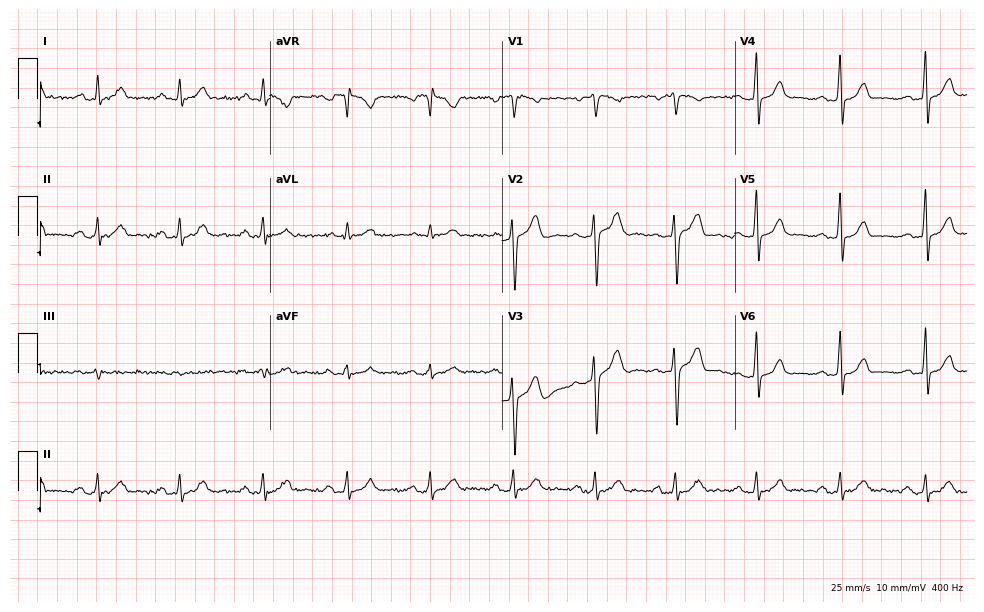
Electrocardiogram (9.5-second recording at 400 Hz), a 30-year-old man. Overall reading on record: normal ECG.